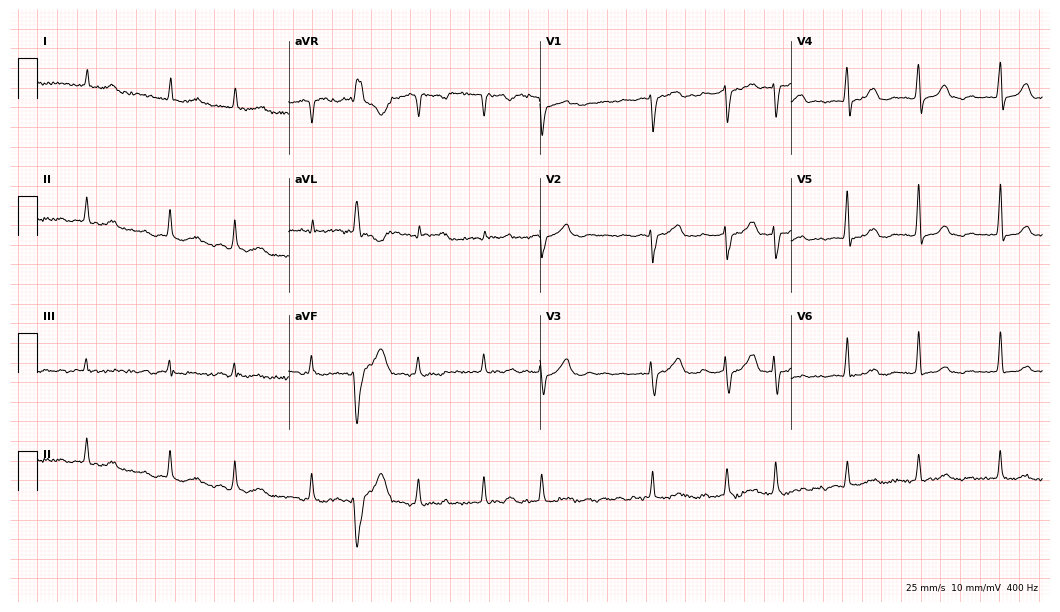
ECG — a woman, 78 years old. Findings include atrial fibrillation.